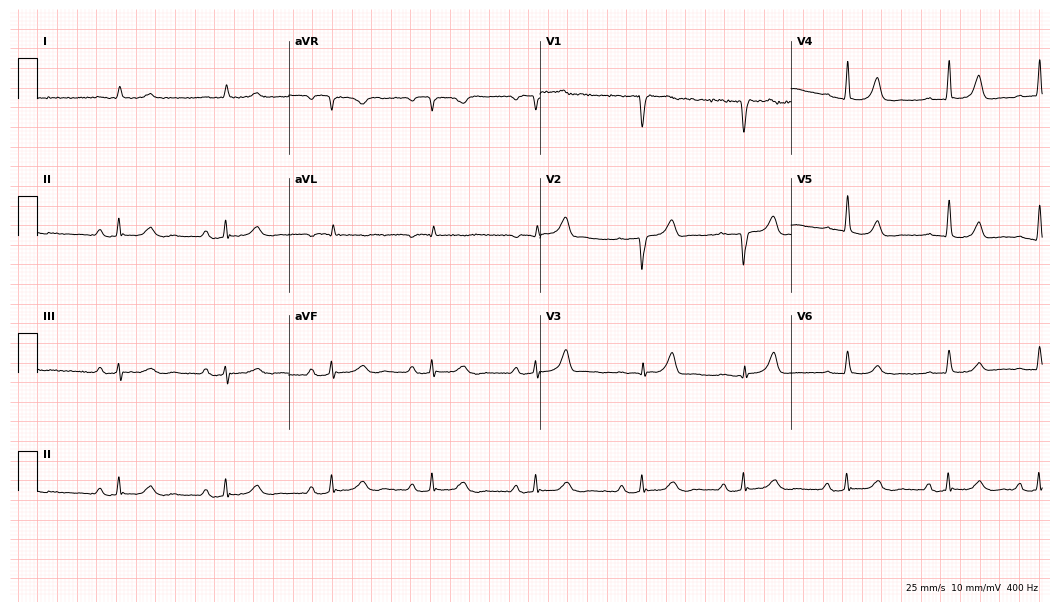
12-lead ECG from a 67-year-old man (10.2-second recording at 400 Hz). Shows first-degree AV block.